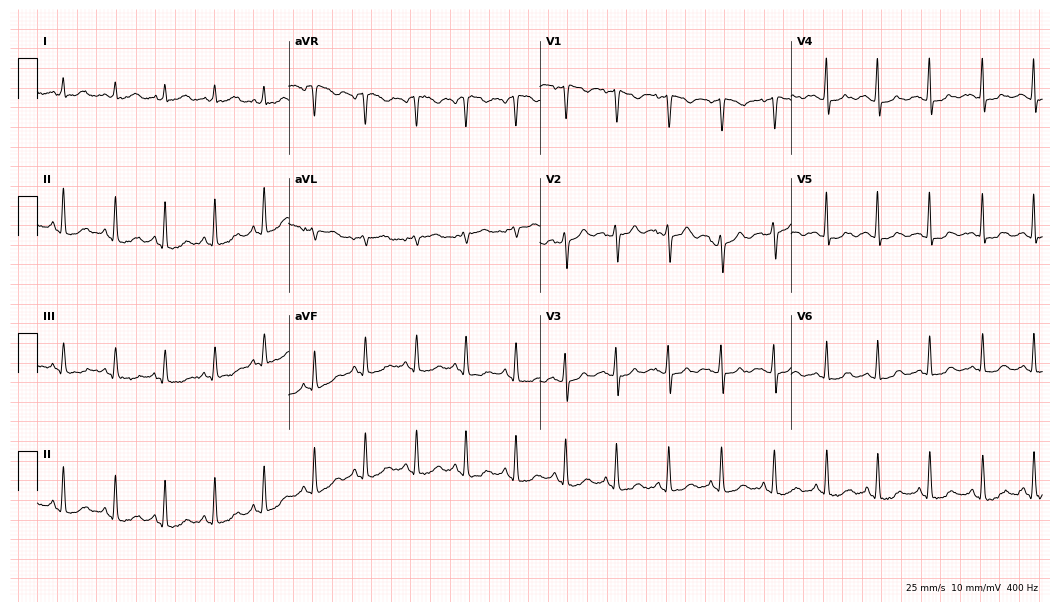
12-lead ECG (10.2-second recording at 400 Hz) from a female patient, 58 years old. Findings include sinus tachycardia (a sinus rate of 100 beats per minute or more).